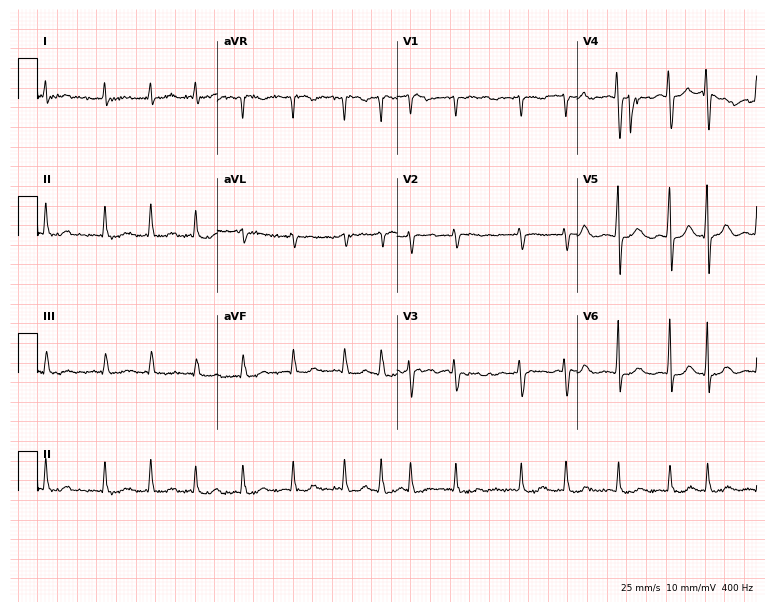
ECG (7.3-second recording at 400 Hz) — an 82-year-old woman. Findings include atrial fibrillation.